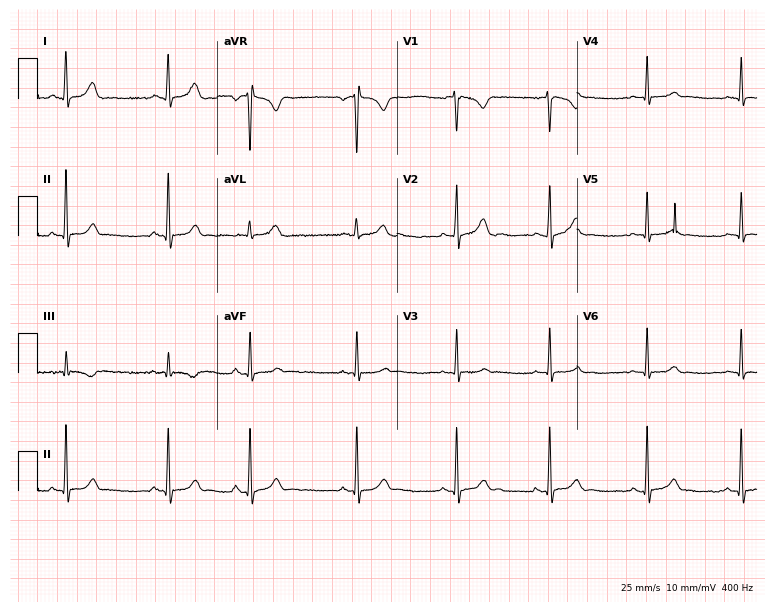
ECG — a 22-year-old woman. Screened for six findings — first-degree AV block, right bundle branch block (RBBB), left bundle branch block (LBBB), sinus bradycardia, atrial fibrillation (AF), sinus tachycardia — none is recorded. Only these six findings were labelled.